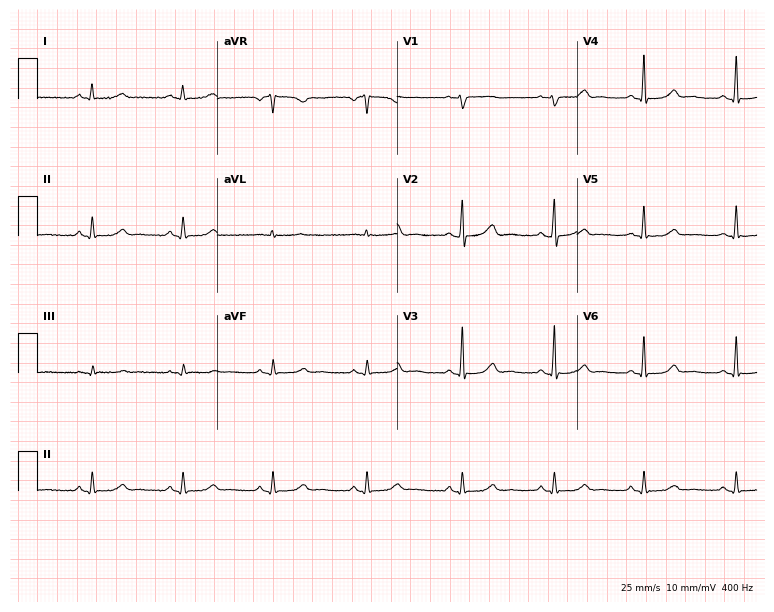
ECG (7.3-second recording at 400 Hz) — a female patient, 42 years old. Labelled as a normal ECG.